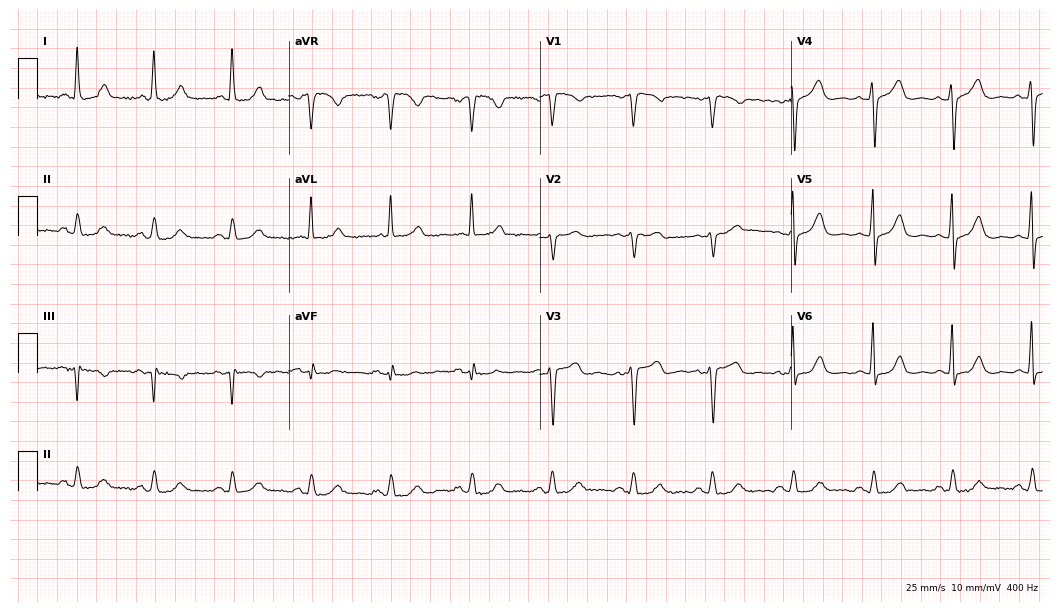
ECG (10.2-second recording at 400 Hz) — a woman, 71 years old. Labelled as a normal ECG.